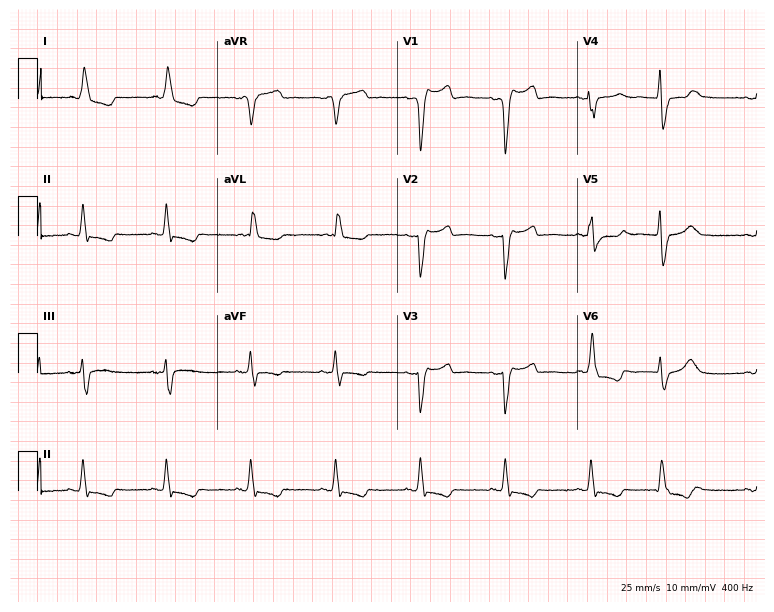
Standard 12-lead ECG recorded from an 82-year-old female. The tracing shows left bundle branch block.